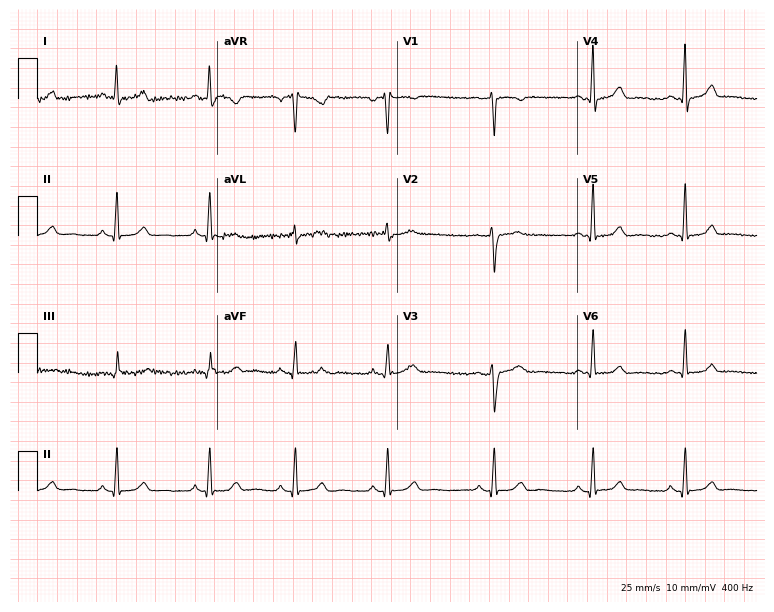
Standard 12-lead ECG recorded from a 34-year-old woman. None of these six findings is recorded: first-degree AV block, right bundle branch block (RBBB), left bundle branch block (LBBB), sinus bradycardia, atrial fibrillation (AF), sinus tachycardia.